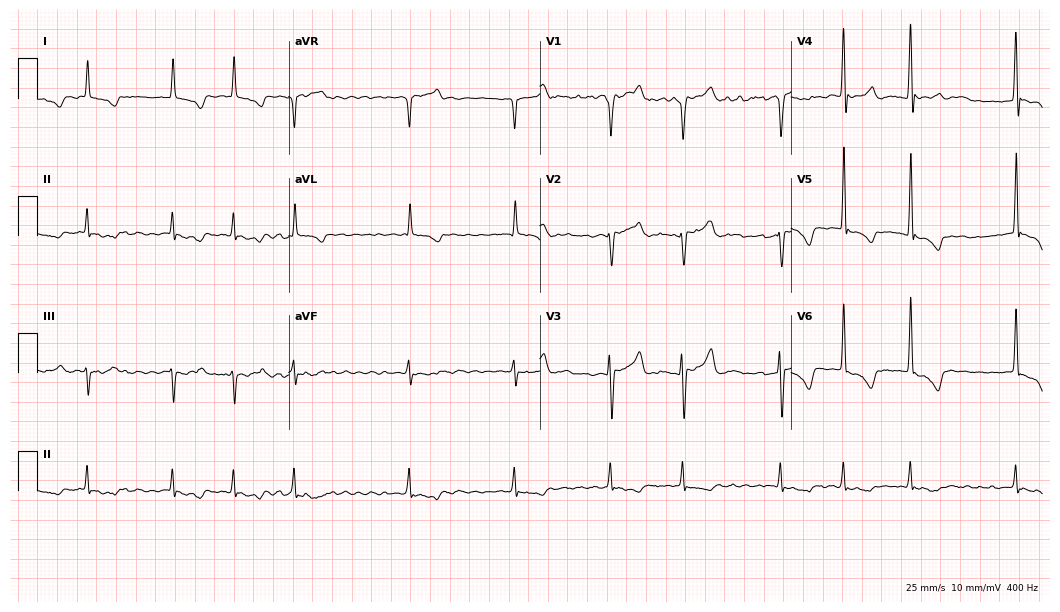
Standard 12-lead ECG recorded from a male patient, 78 years old. The tracing shows atrial fibrillation.